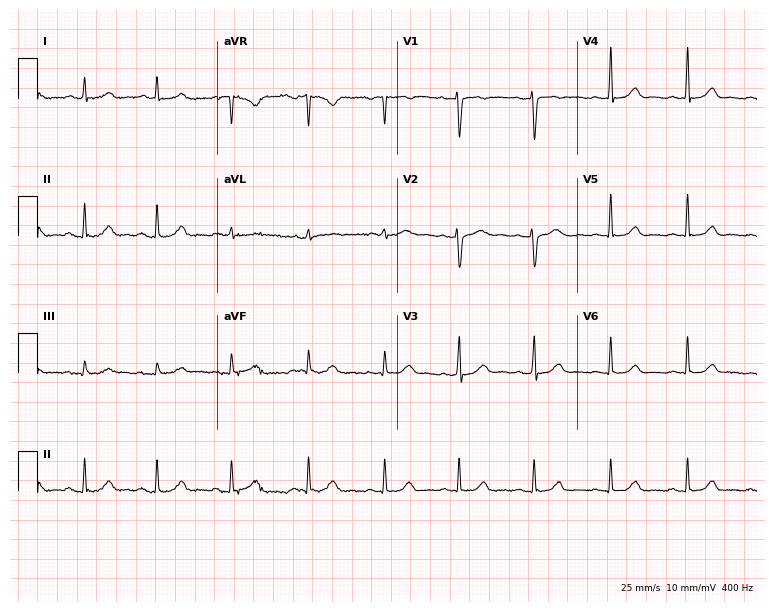
Electrocardiogram (7.3-second recording at 400 Hz), a female, 42 years old. Overall reading on record: normal ECG.